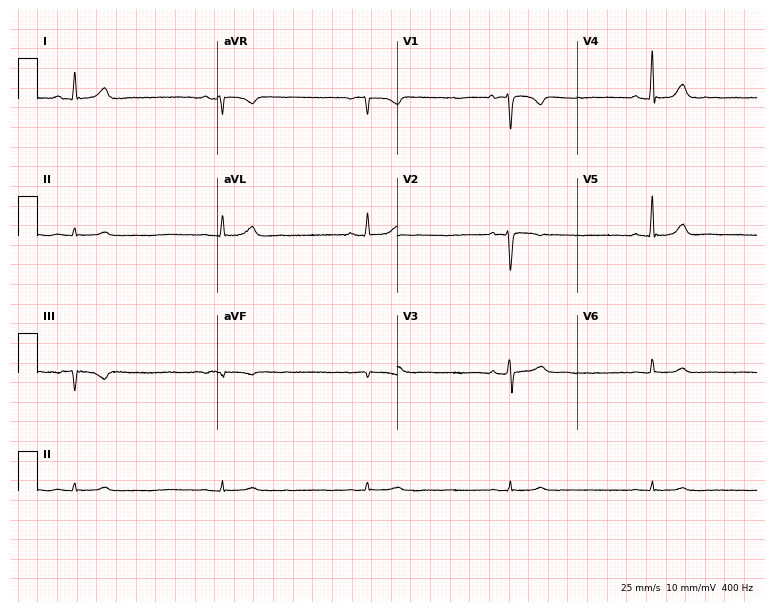
Electrocardiogram, a female, 51 years old. Interpretation includes sinus bradycardia (a sinus rate of 50 beats per minute or less).